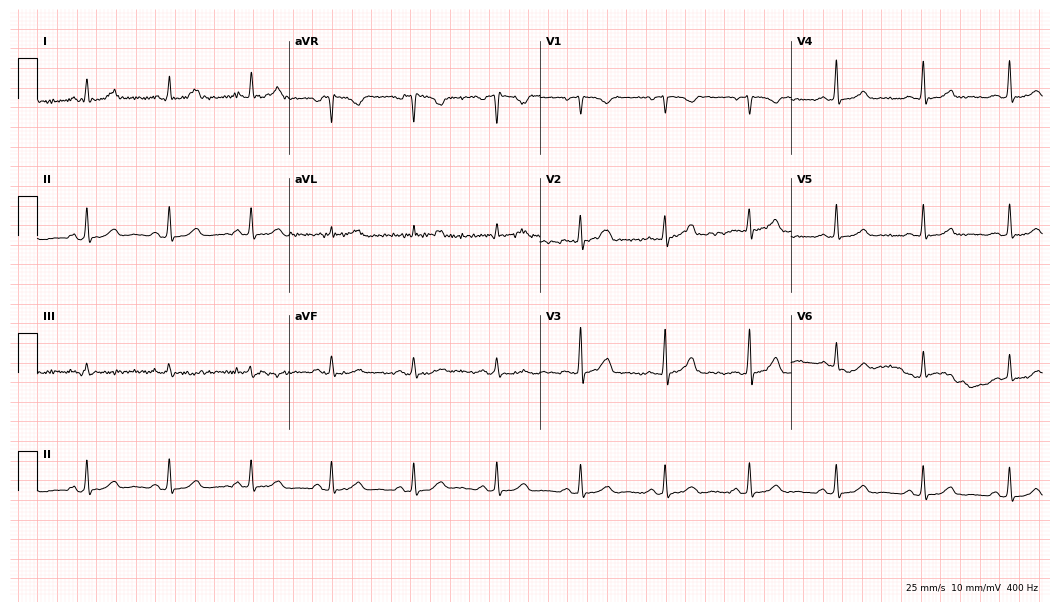
ECG — a female patient, 45 years old. Labelled as a normal ECG.